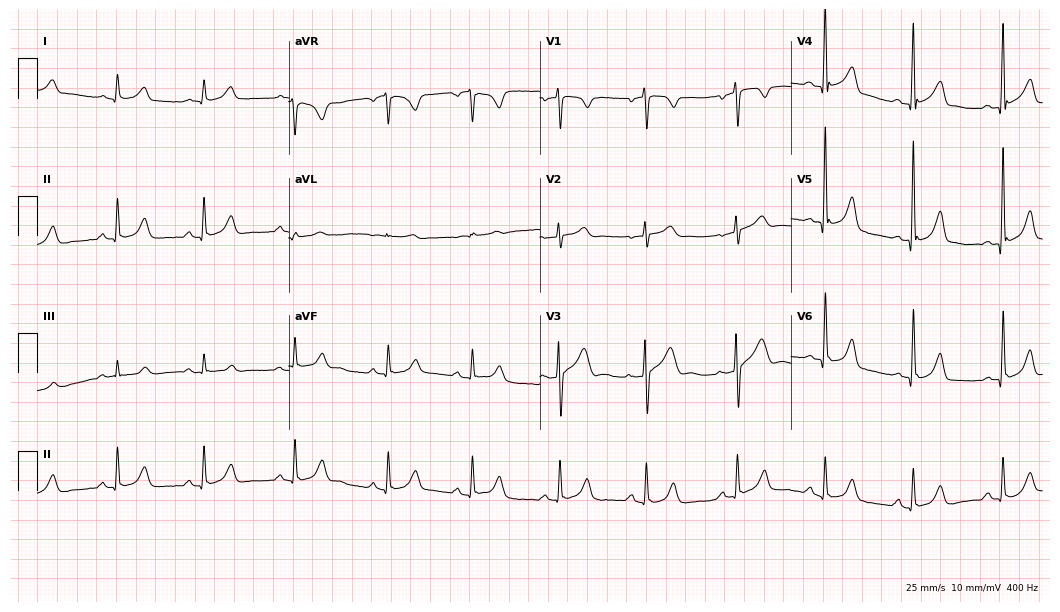
12-lead ECG from a 29-year-old male. Recorded interpretation: within normal limits.